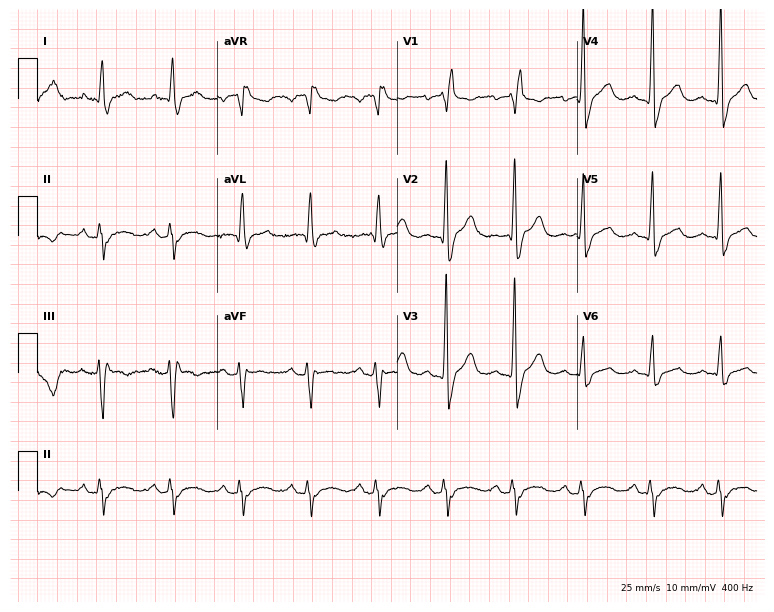
12-lead ECG from a male patient, 57 years old. Shows right bundle branch block.